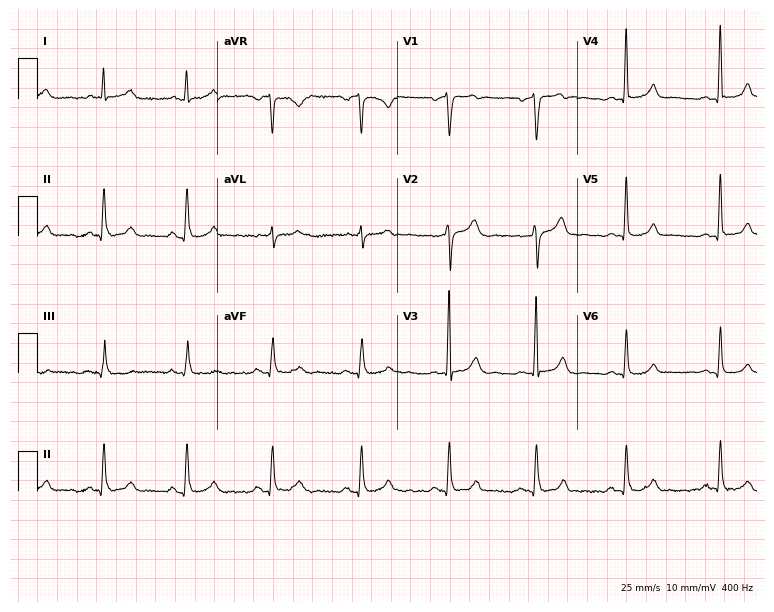
12-lead ECG from a man, 49 years old. Labelled as a normal ECG.